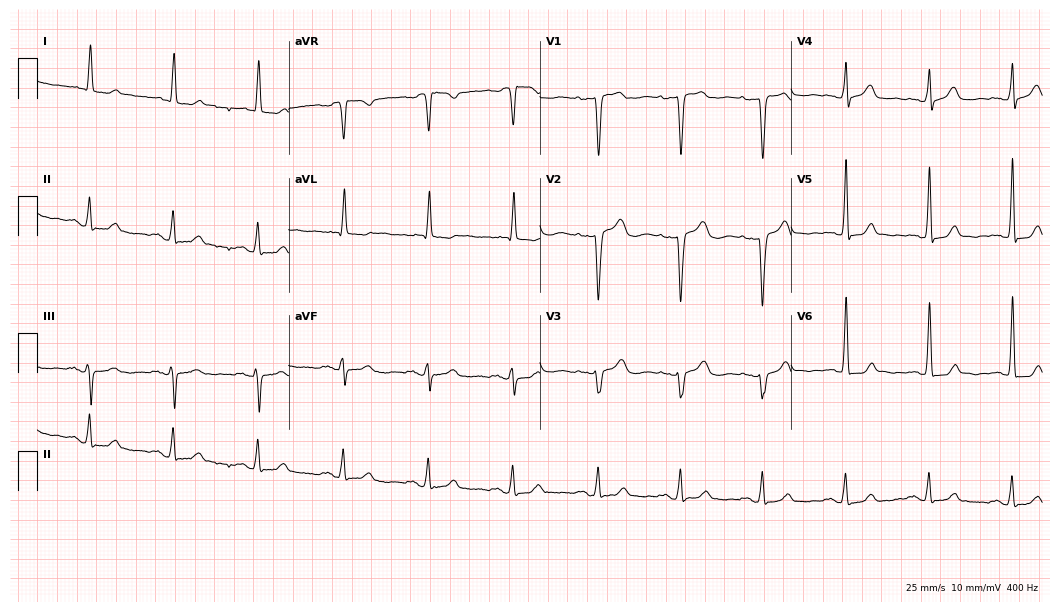
12-lead ECG (10.2-second recording at 400 Hz) from a woman, 52 years old. Screened for six findings — first-degree AV block, right bundle branch block (RBBB), left bundle branch block (LBBB), sinus bradycardia, atrial fibrillation (AF), sinus tachycardia — none is recorded.